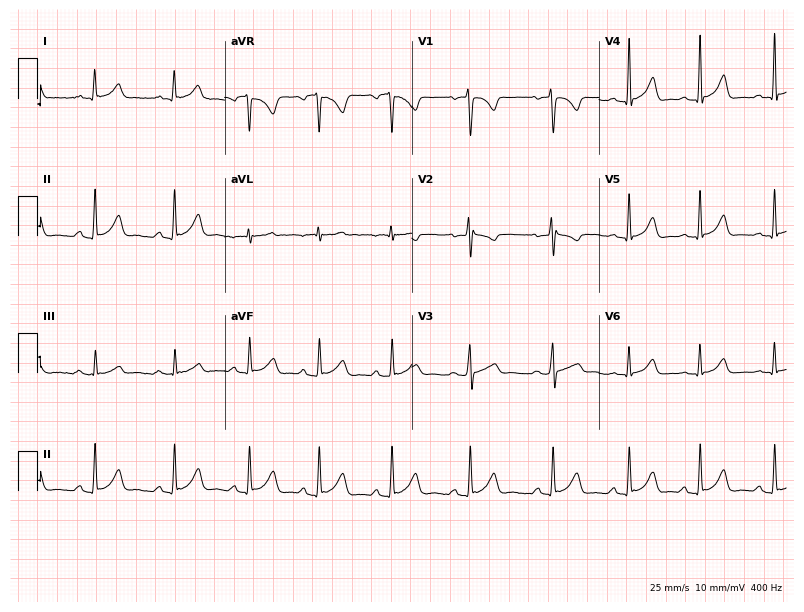
Standard 12-lead ECG recorded from a female patient, 18 years old. None of these six findings is recorded: first-degree AV block, right bundle branch block, left bundle branch block, sinus bradycardia, atrial fibrillation, sinus tachycardia.